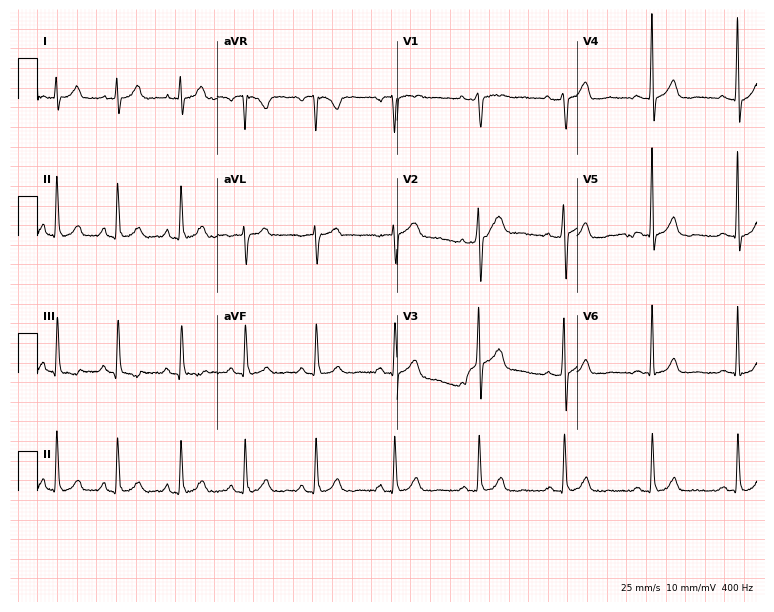
Electrocardiogram (7.3-second recording at 400 Hz), a male patient, 33 years old. Overall reading on record: normal ECG.